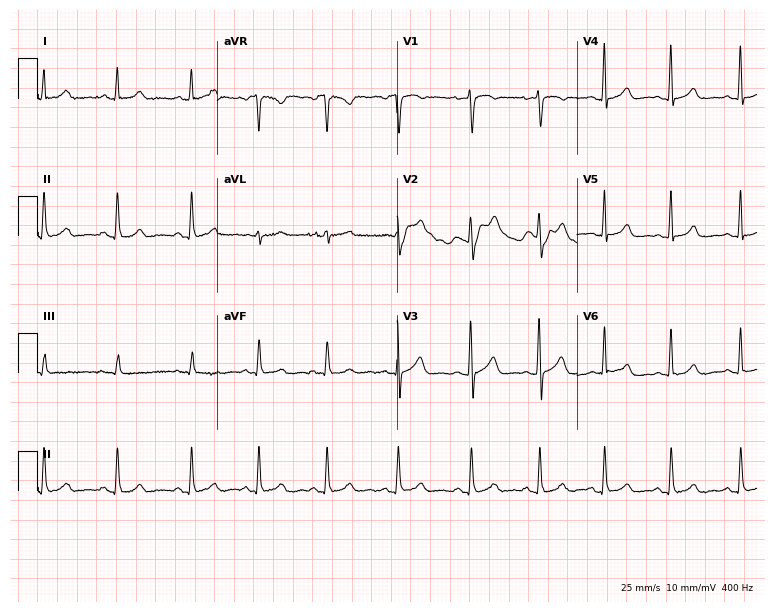
Electrocardiogram (7.3-second recording at 400 Hz), a 25-year-old woman. Overall reading on record: normal ECG.